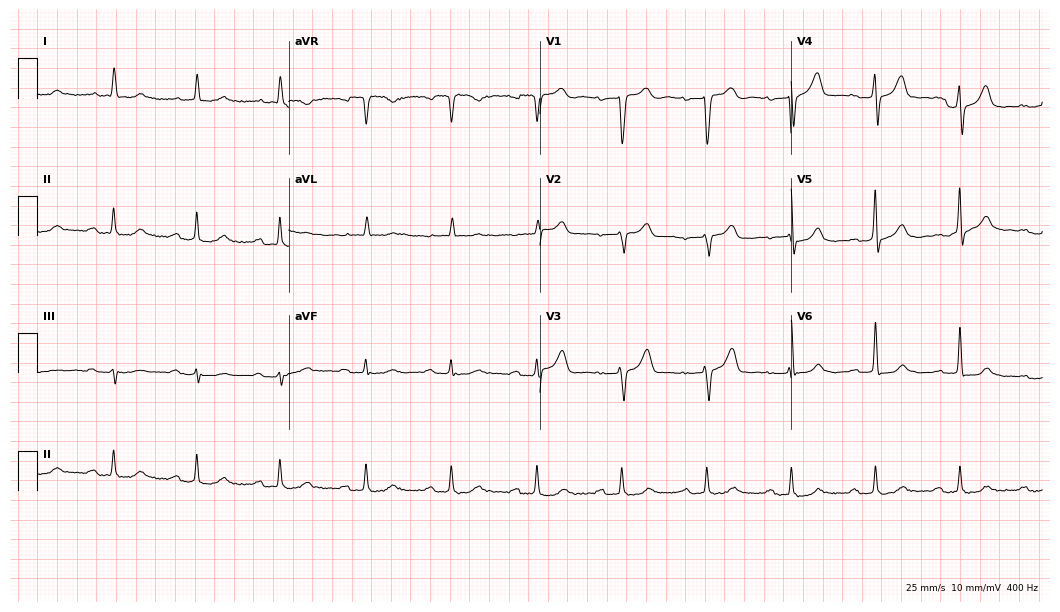
Resting 12-lead electrocardiogram (10.2-second recording at 400 Hz). Patient: a man, 79 years old. None of these six findings is recorded: first-degree AV block, right bundle branch block, left bundle branch block, sinus bradycardia, atrial fibrillation, sinus tachycardia.